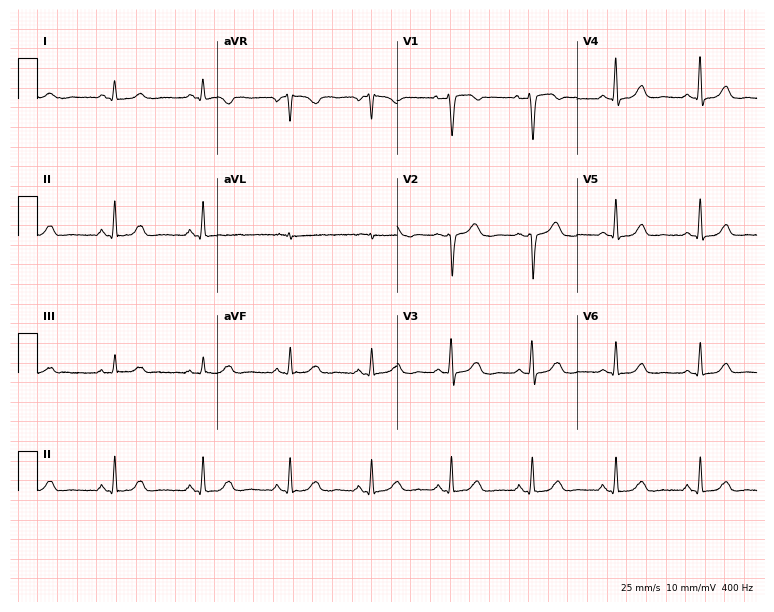
ECG — a female patient, 43 years old. Labelled as a normal ECG.